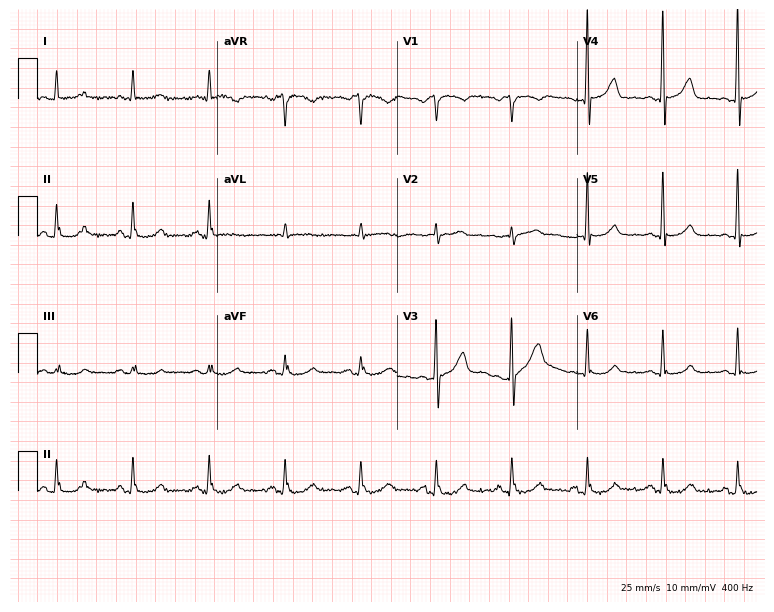
Resting 12-lead electrocardiogram (7.3-second recording at 400 Hz). Patient: a 59-year-old male. Read as a normal ECG.